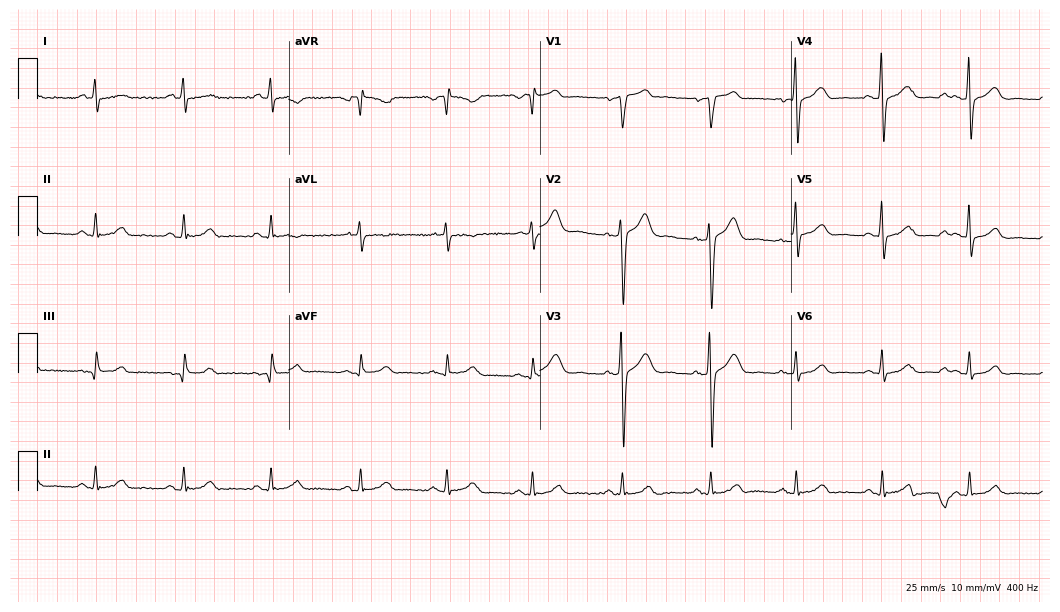
Resting 12-lead electrocardiogram. Patient: a 63-year-old male. Read as a normal ECG.